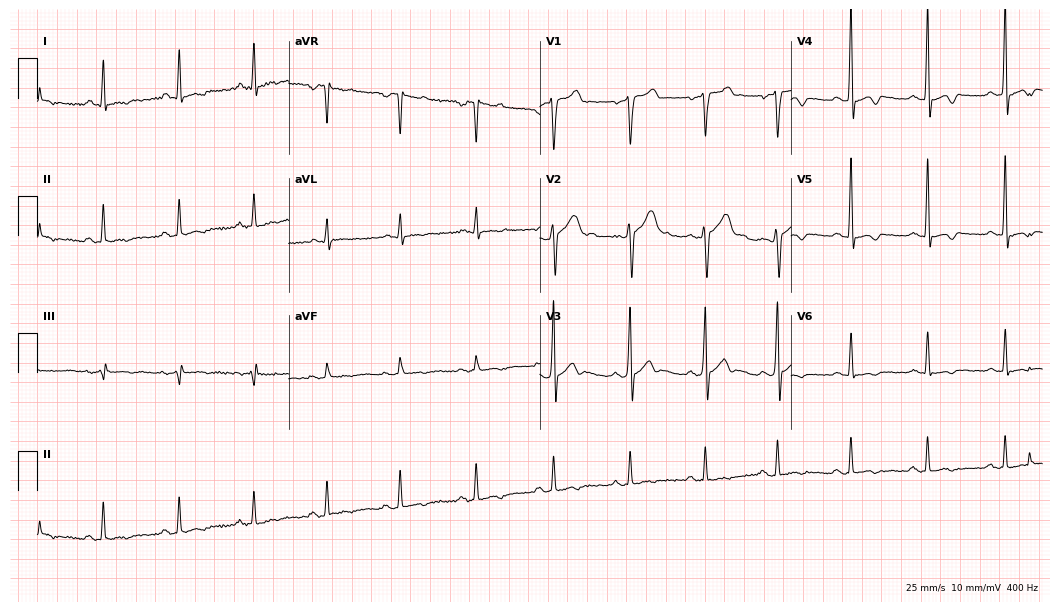
Resting 12-lead electrocardiogram. Patient: a male, 37 years old. None of these six findings is recorded: first-degree AV block, right bundle branch block, left bundle branch block, sinus bradycardia, atrial fibrillation, sinus tachycardia.